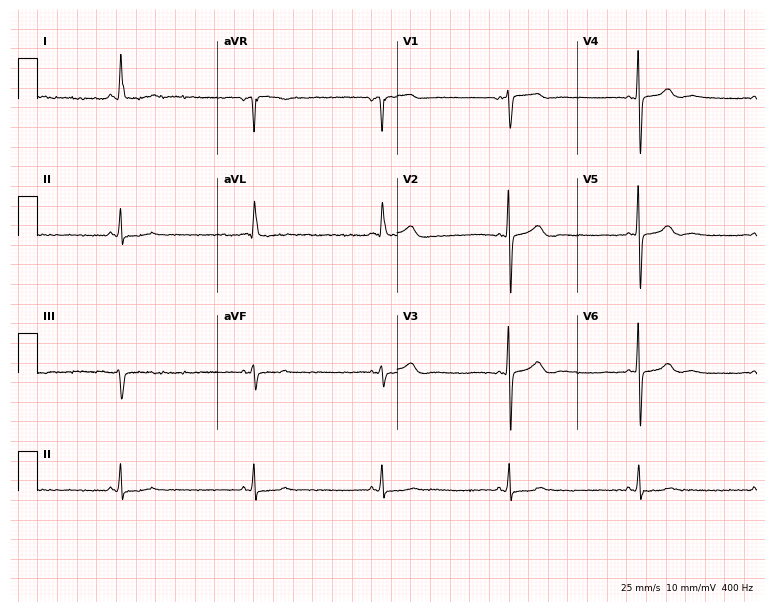
Resting 12-lead electrocardiogram. Patient: a male, 82 years old. The tracing shows sinus bradycardia (a sinus rate of 50 beats per minute or less).